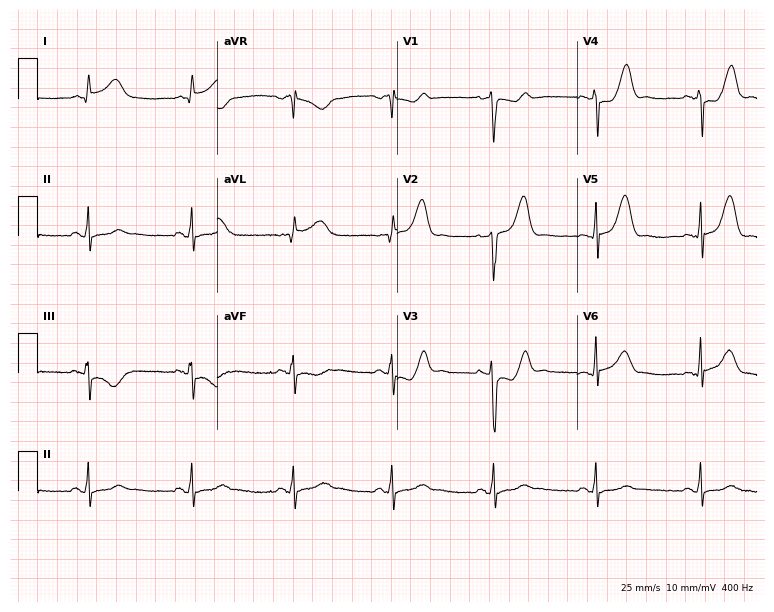
Standard 12-lead ECG recorded from a 45-year-old male patient. Read as a normal ECG.